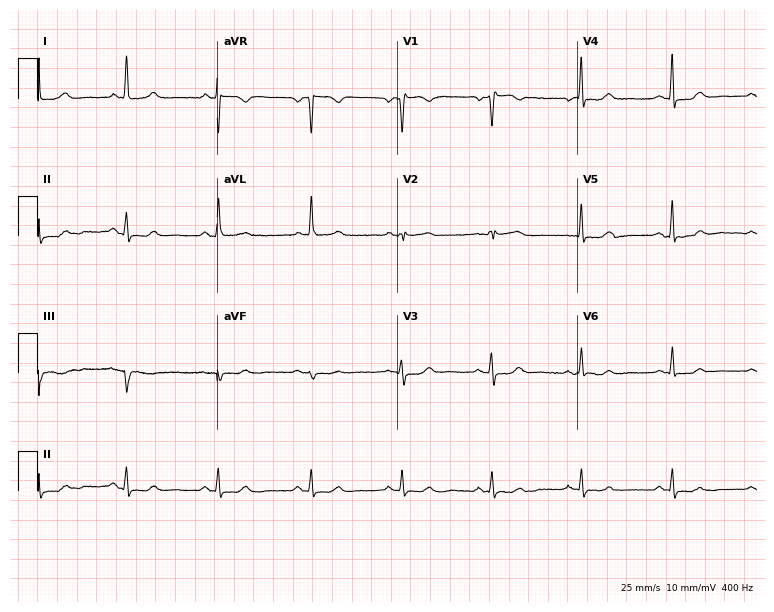
12-lead ECG from a woman, 60 years old. Recorded interpretation: within normal limits.